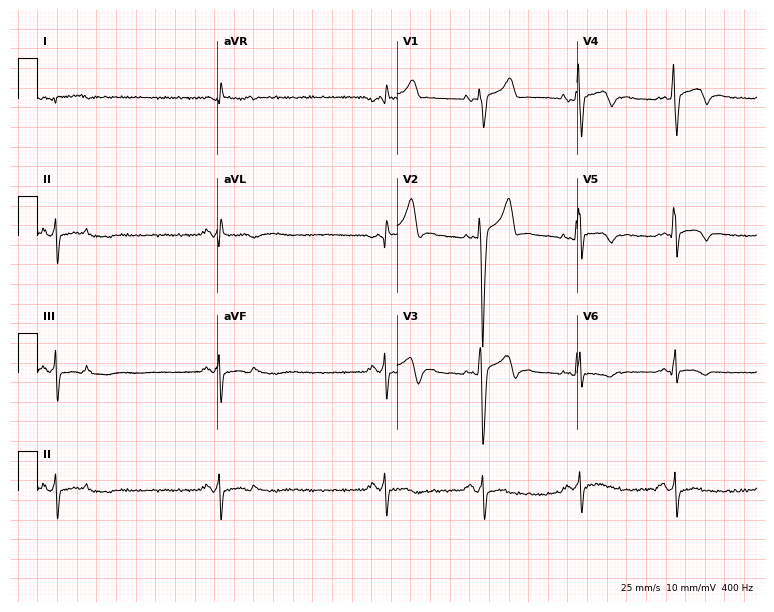
Electrocardiogram (7.3-second recording at 400 Hz), a male patient, 43 years old. Of the six screened findings (first-degree AV block, right bundle branch block (RBBB), left bundle branch block (LBBB), sinus bradycardia, atrial fibrillation (AF), sinus tachycardia), none is recorded.